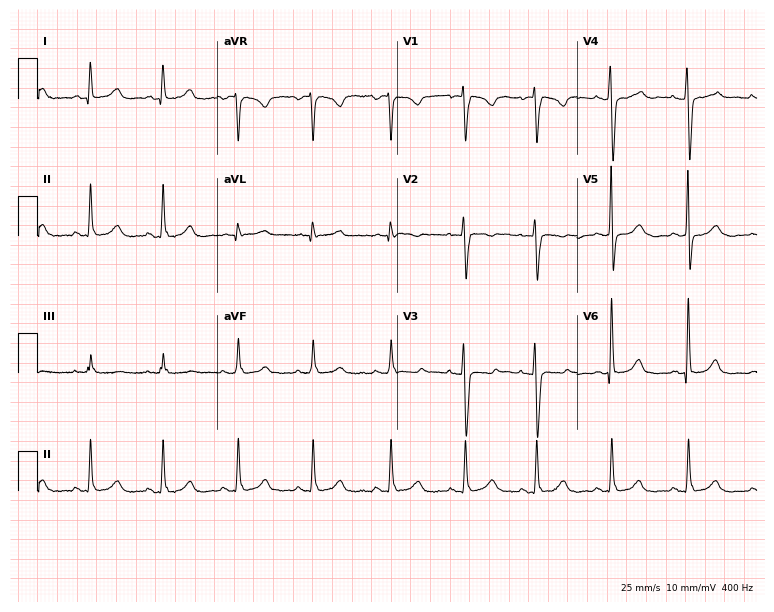
Standard 12-lead ECG recorded from a female patient, 25 years old (7.3-second recording at 400 Hz). None of these six findings is recorded: first-degree AV block, right bundle branch block, left bundle branch block, sinus bradycardia, atrial fibrillation, sinus tachycardia. Only these six findings were labelled.